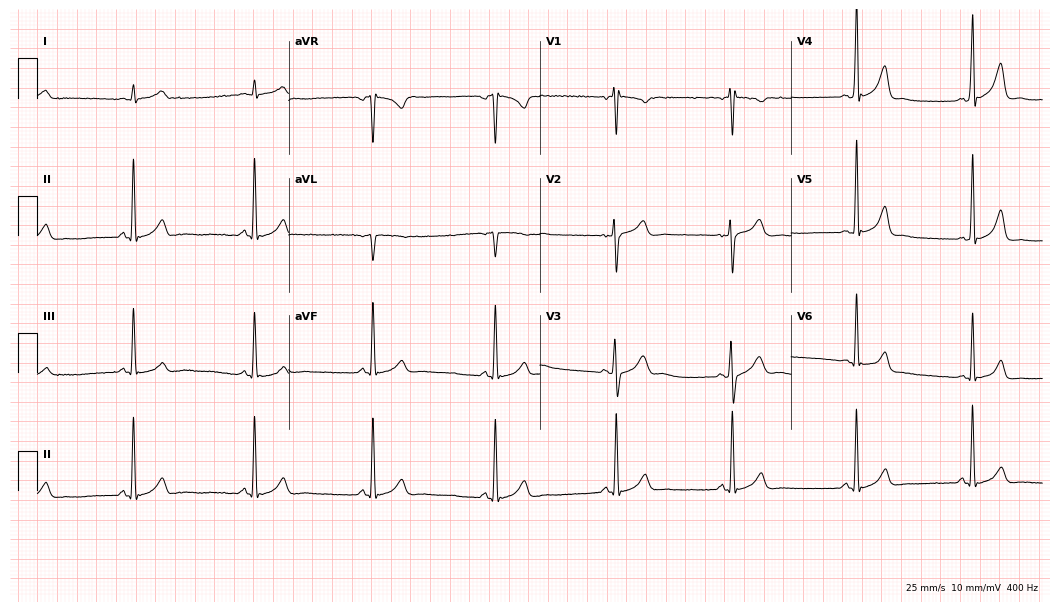
12-lead ECG from a 25-year-old male. Findings include sinus bradycardia (a sinus rate of 50 beats per minute or less).